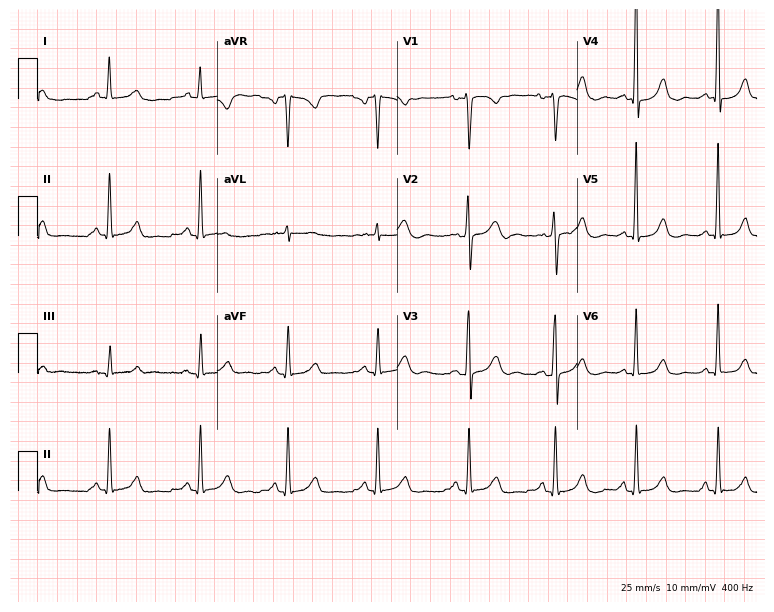
ECG — a woman, 44 years old. Labelled as a normal ECG.